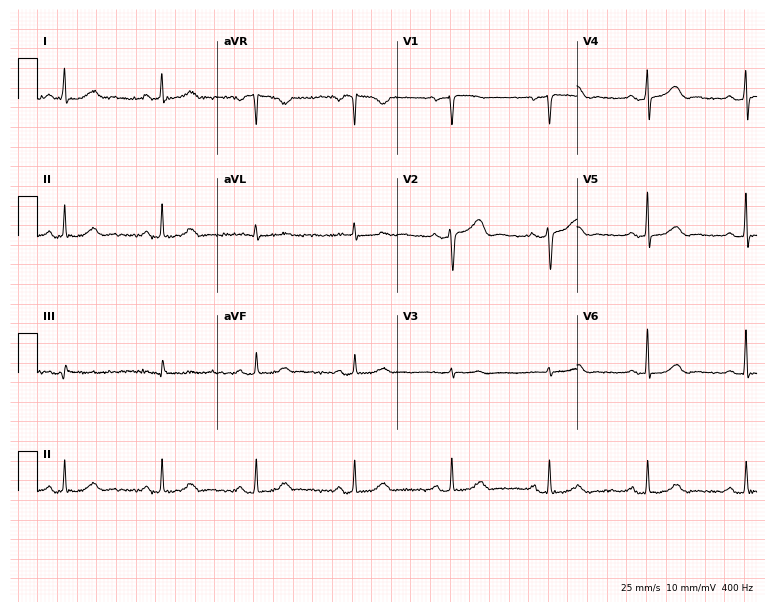
Resting 12-lead electrocardiogram. Patient: a female, 70 years old. Read as a normal ECG.